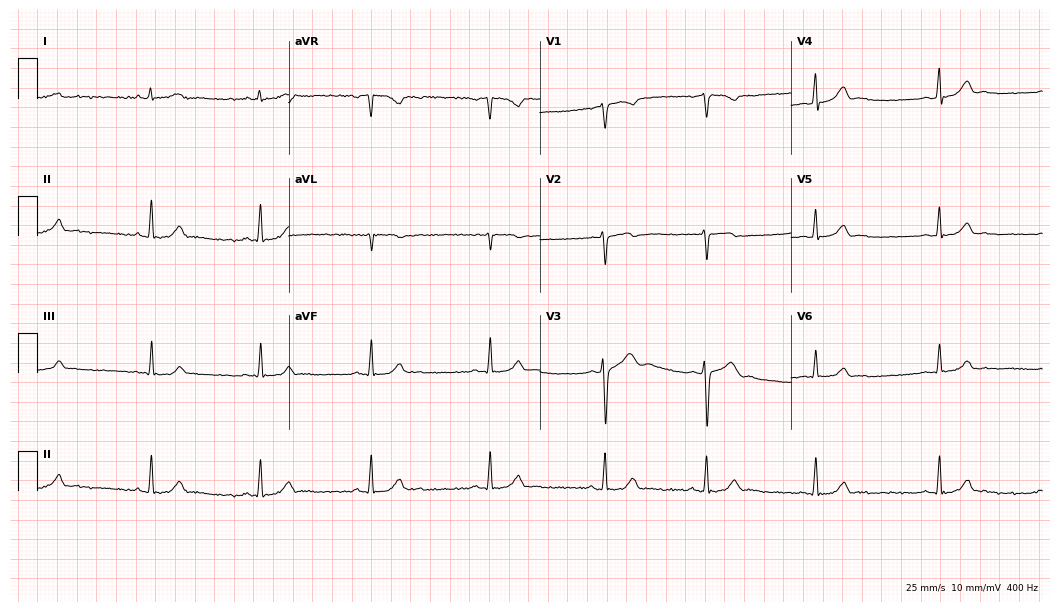
12-lead ECG from a woman, 23 years old (10.2-second recording at 400 Hz). No first-degree AV block, right bundle branch block, left bundle branch block, sinus bradycardia, atrial fibrillation or sinus tachycardia recorded for this tracing.